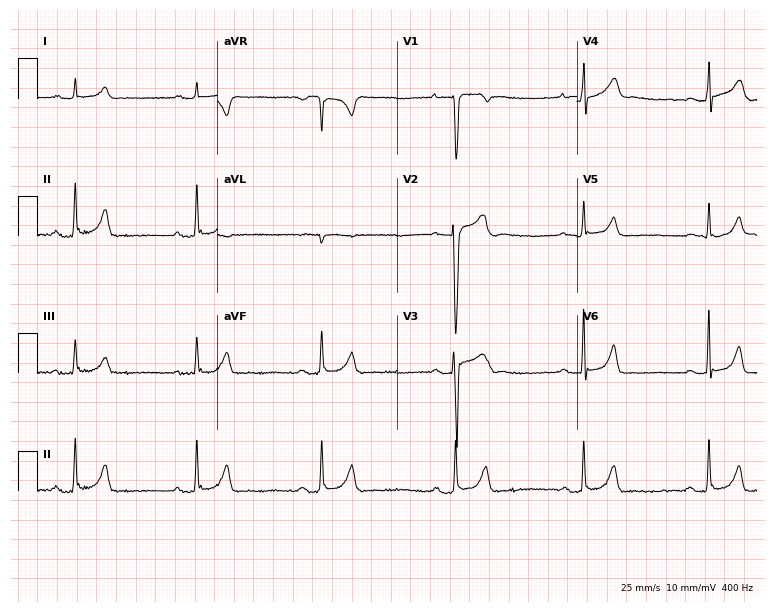
12-lead ECG from a 20-year-old male. Findings include sinus bradycardia (a sinus rate of 50 beats per minute or less).